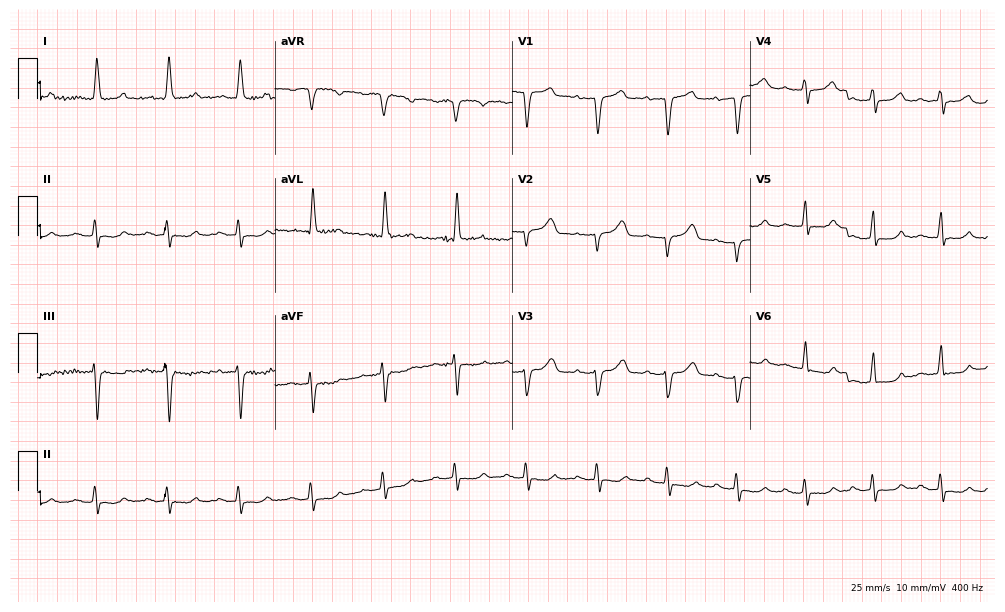
Electrocardiogram (9.7-second recording at 400 Hz), a female patient, 73 years old. Interpretation includes first-degree AV block.